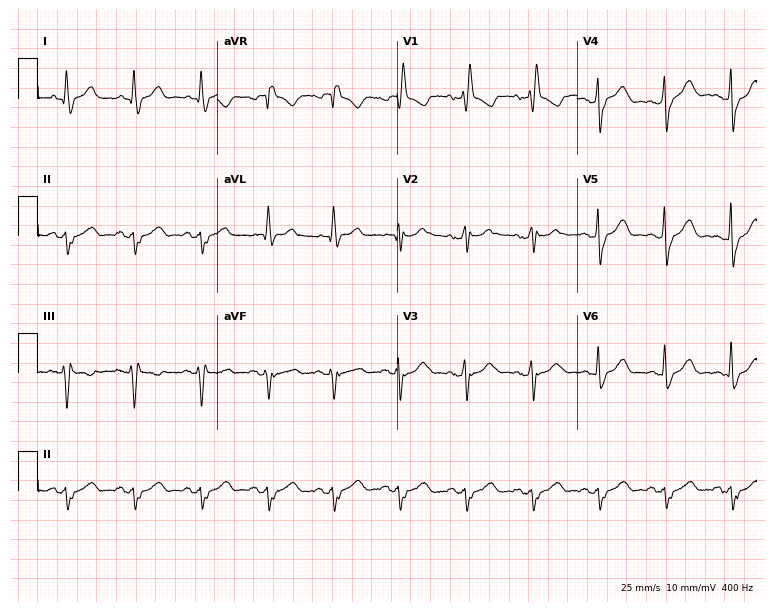
Resting 12-lead electrocardiogram. Patient: a man, 78 years old. The tracing shows right bundle branch block.